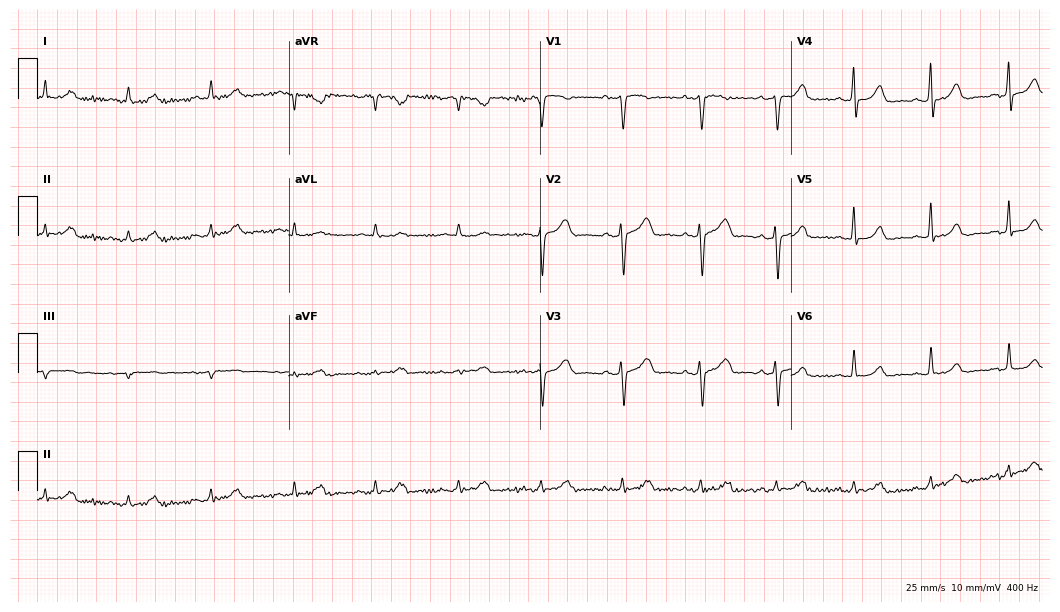
Standard 12-lead ECG recorded from a 59-year-old female patient. None of these six findings is recorded: first-degree AV block, right bundle branch block, left bundle branch block, sinus bradycardia, atrial fibrillation, sinus tachycardia. Findings outside these six are not listed.